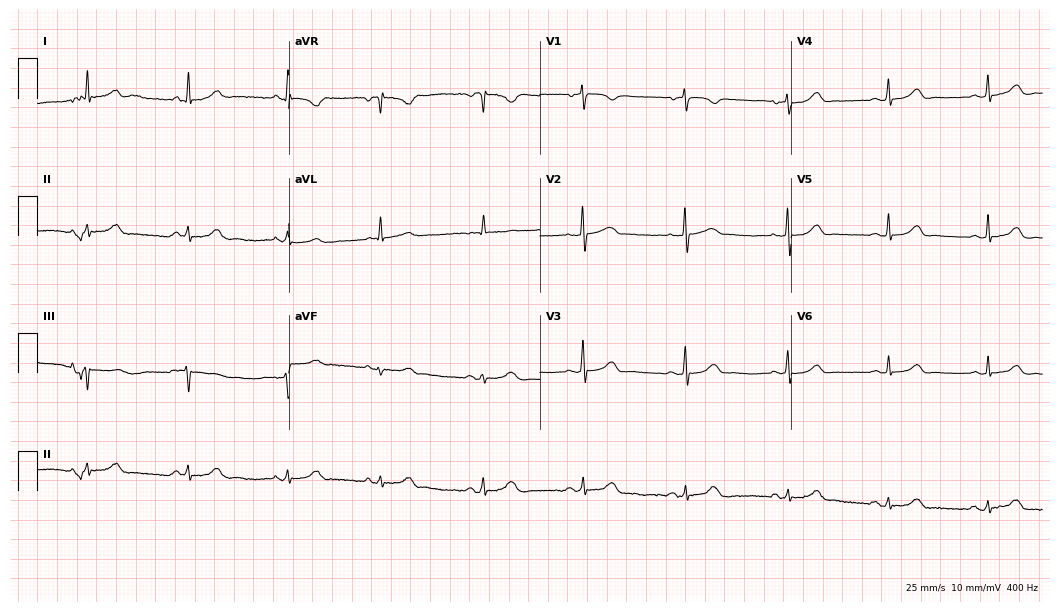
12-lead ECG from a 74-year-old female patient (10.2-second recording at 400 Hz). No first-degree AV block, right bundle branch block (RBBB), left bundle branch block (LBBB), sinus bradycardia, atrial fibrillation (AF) or sinus tachycardia recorded for this tracing.